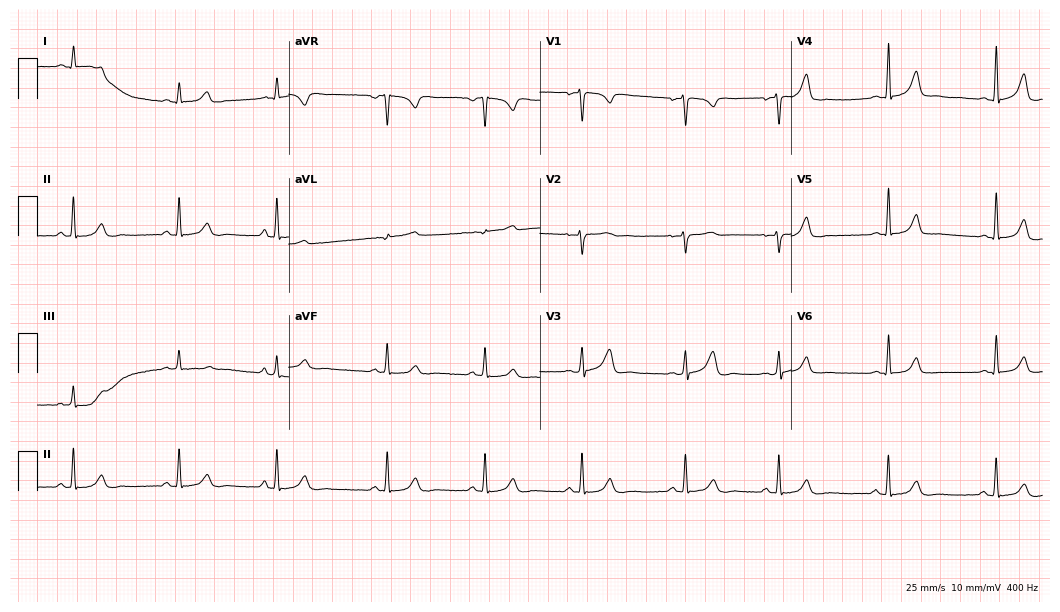
Standard 12-lead ECG recorded from a female patient, 22 years old (10.2-second recording at 400 Hz). Read as a normal ECG.